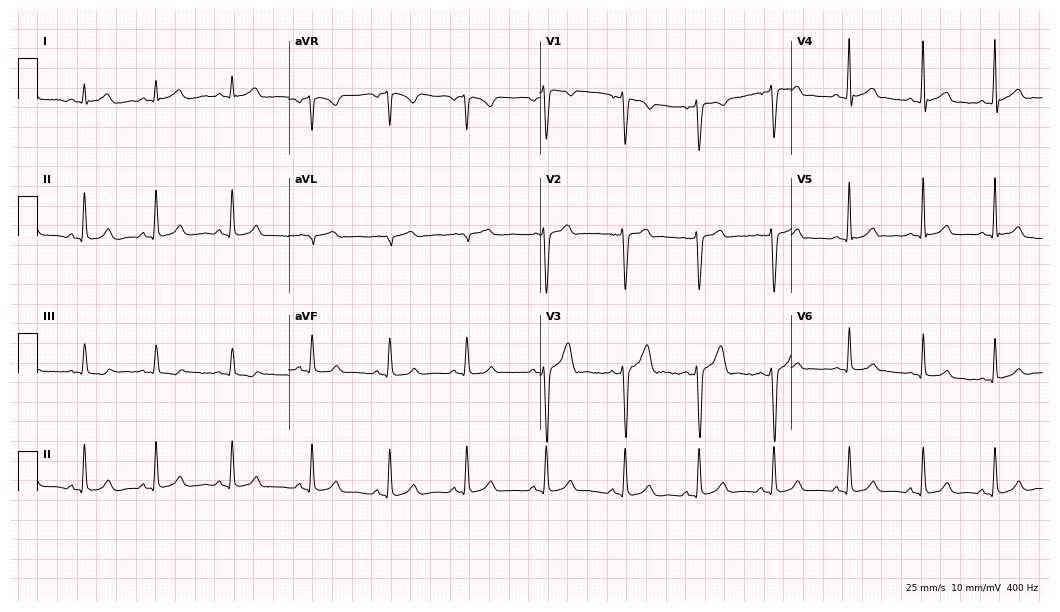
Resting 12-lead electrocardiogram (10.2-second recording at 400 Hz). Patient: a man, 23 years old. Read as a normal ECG.